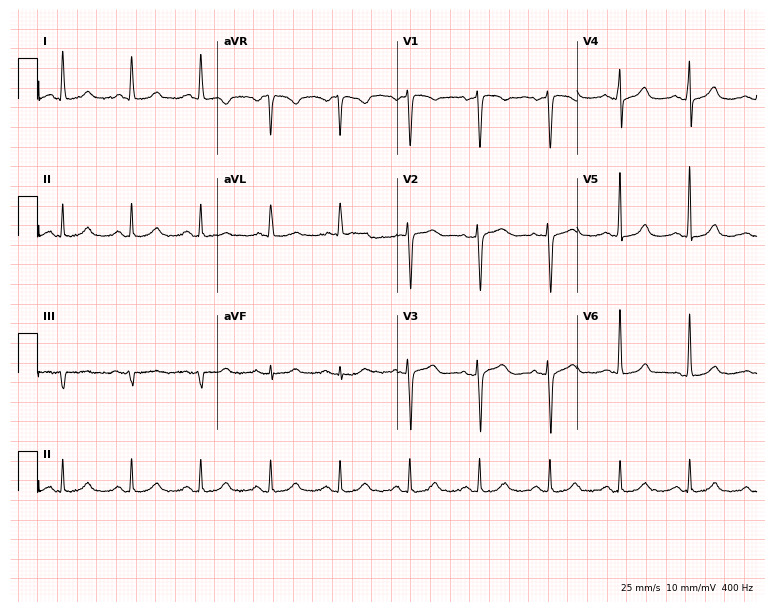
Standard 12-lead ECG recorded from a 69-year-old female patient (7.3-second recording at 400 Hz). None of these six findings is recorded: first-degree AV block, right bundle branch block (RBBB), left bundle branch block (LBBB), sinus bradycardia, atrial fibrillation (AF), sinus tachycardia.